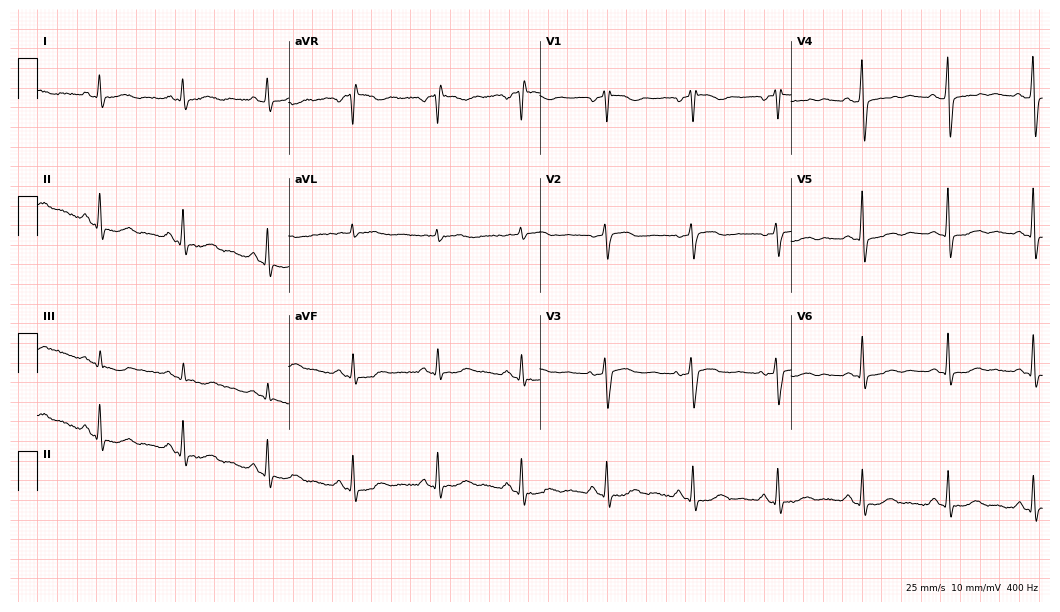
Standard 12-lead ECG recorded from a female patient, 51 years old (10.2-second recording at 400 Hz). None of these six findings is recorded: first-degree AV block, right bundle branch block, left bundle branch block, sinus bradycardia, atrial fibrillation, sinus tachycardia.